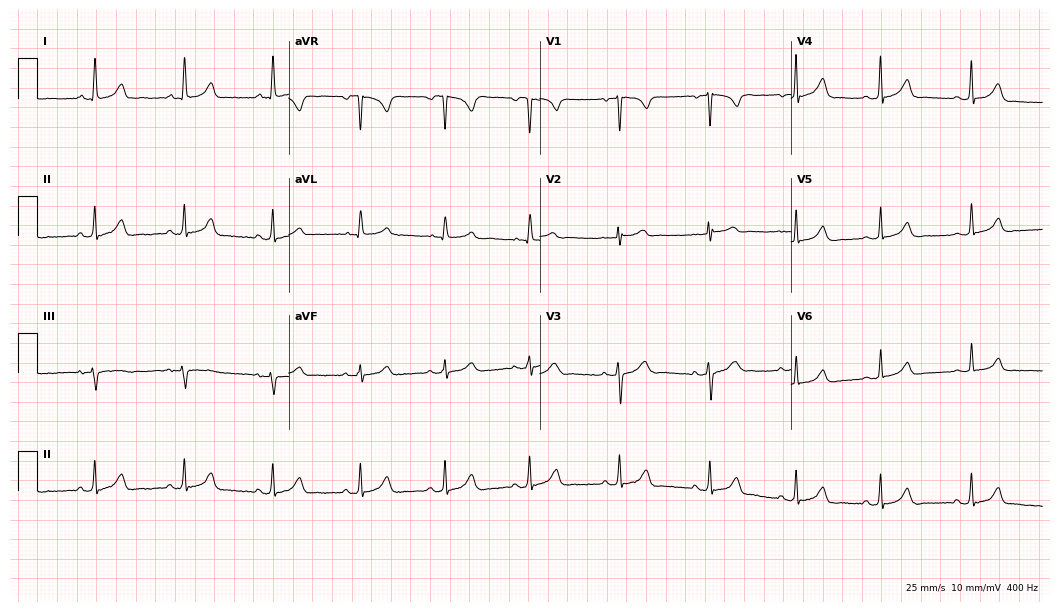
12-lead ECG (10.2-second recording at 400 Hz) from a woman, 18 years old. Screened for six findings — first-degree AV block, right bundle branch block (RBBB), left bundle branch block (LBBB), sinus bradycardia, atrial fibrillation (AF), sinus tachycardia — none is recorded. Findings outside these six are not listed.